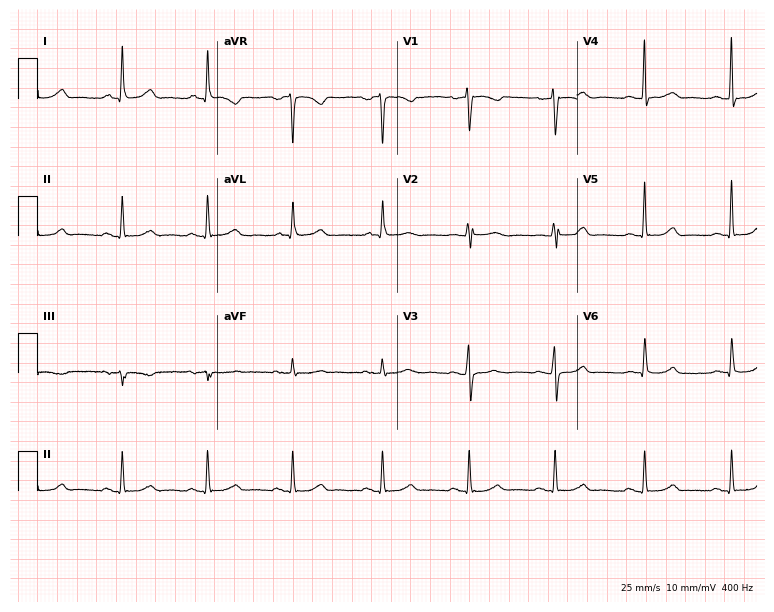
12-lead ECG from a 46-year-old female. Labelled as a normal ECG.